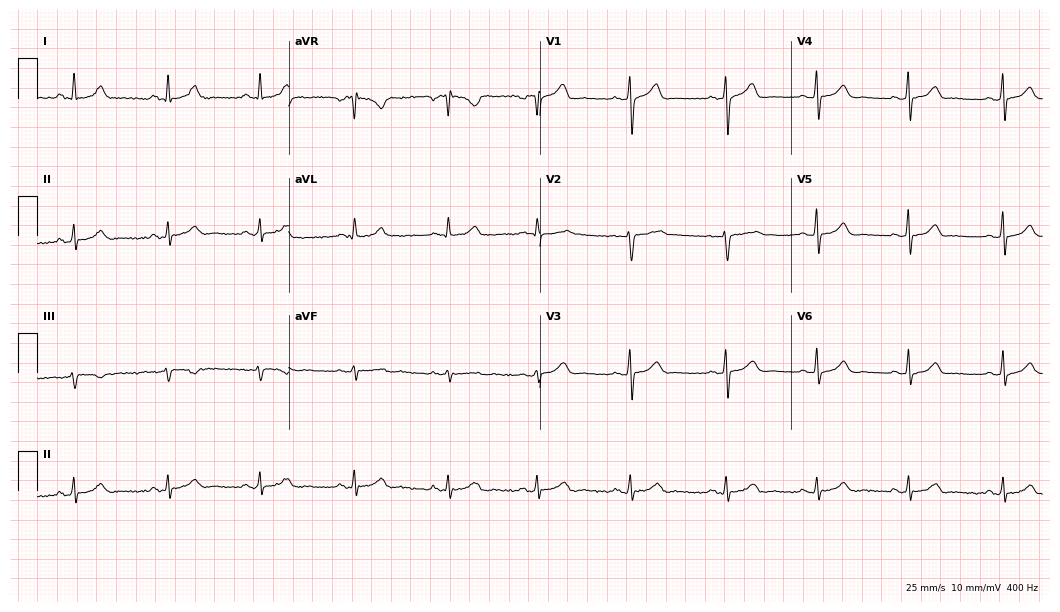
12-lead ECG from a 47-year-old woman. Recorded interpretation: within normal limits.